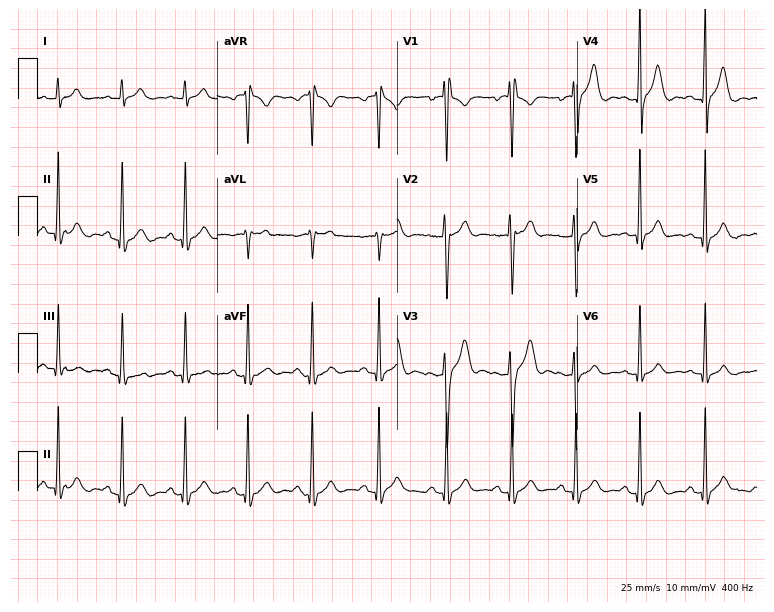
12-lead ECG from a 22-year-old male (7.3-second recording at 400 Hz). Recorded interpretation: within normal limits.